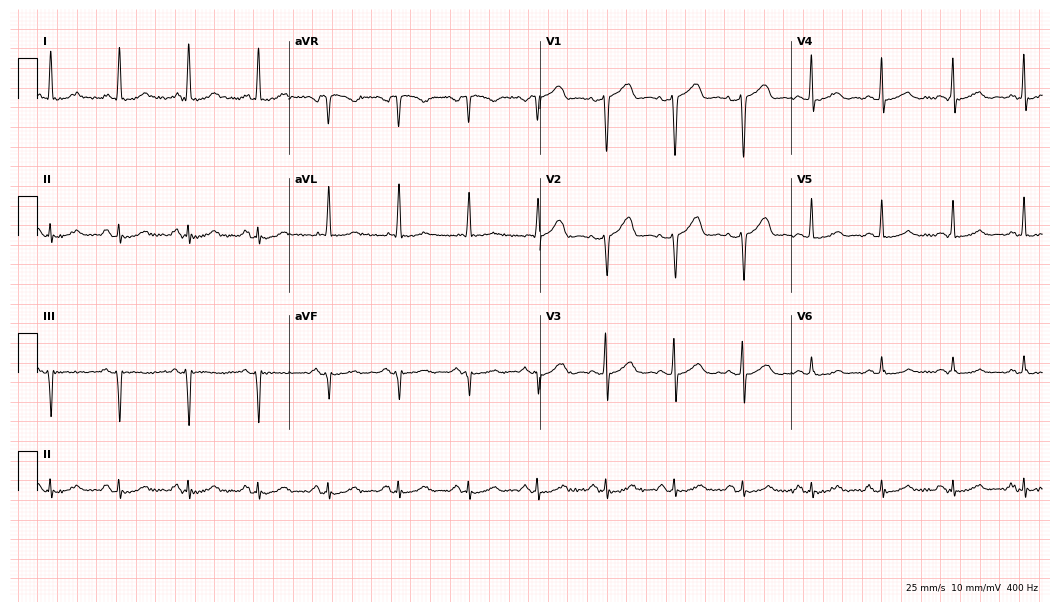
12-lead ECG from a 62-year-old female. Screened for six findings — first-degree AV block, right bundle branch block, left bundle branch block, sinus bradycardia, atrial fibrillation, sinus tachycardia — none is recorded.